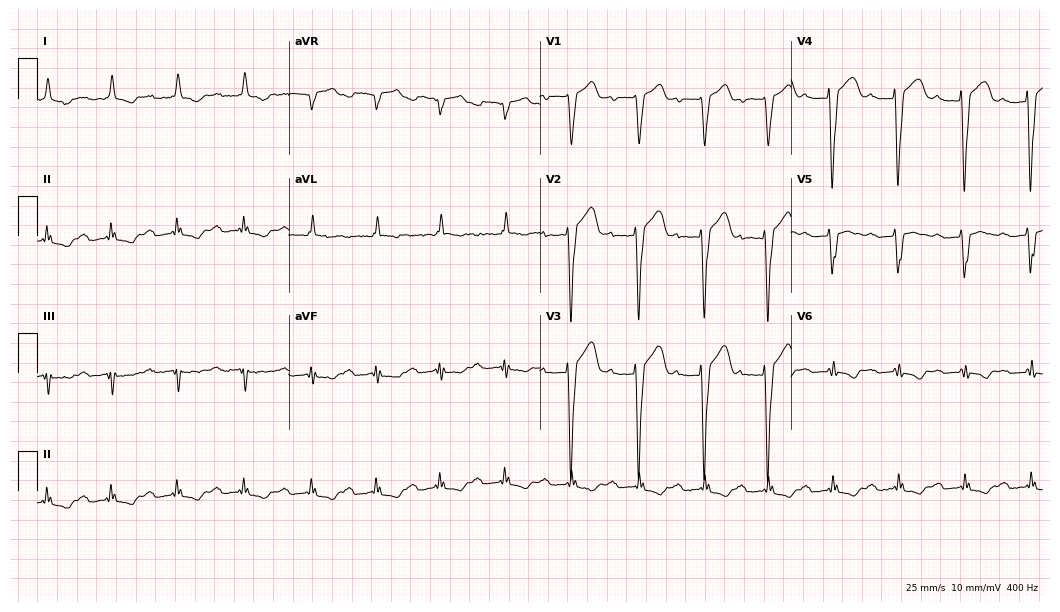
Standard 12-lead ECG recorded from a man, 62 years old (10.2-second recording at 400 Hz). The tracing shows first-degree AV block.